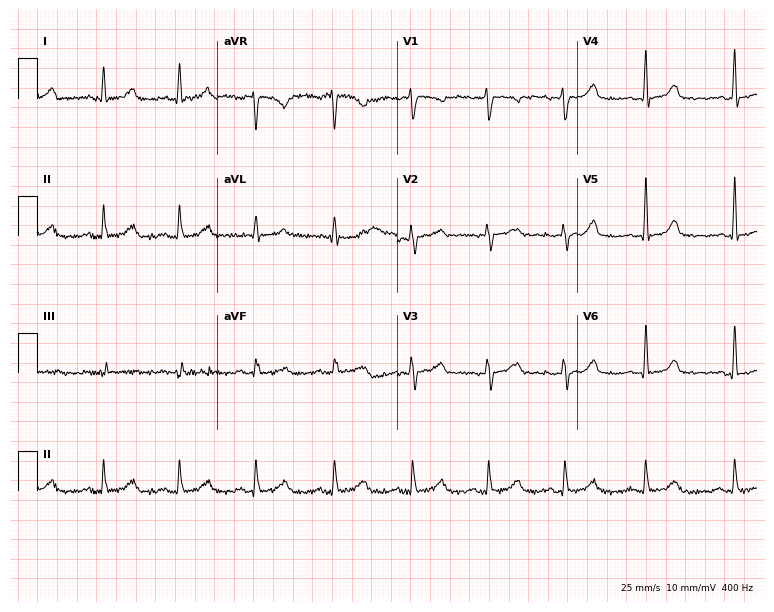
Electrocardiogram, a 33-year-old woman. Of the six screened findings (first-degree AV block, right bundle branch block (RBBB), left bundle branch block (LBBB), sinus bradycardia, atrial fibrillation (AF), sinus tachycardia), none is recorded. Other findings, if any, are not listed.